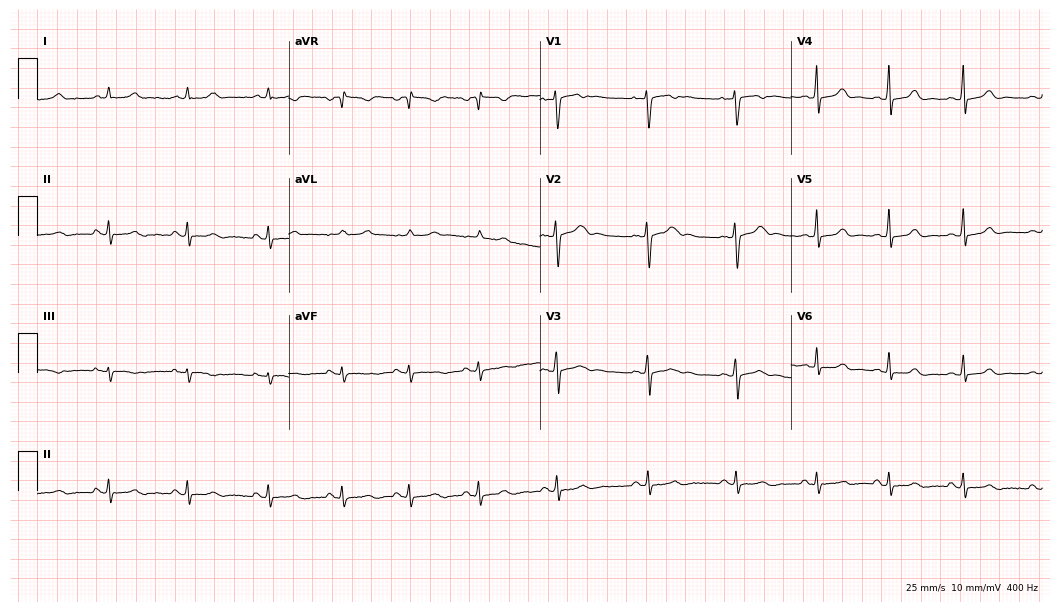
Electrocardiogram, a female patient, 25 years old. Overall reading on record: normal ECG.